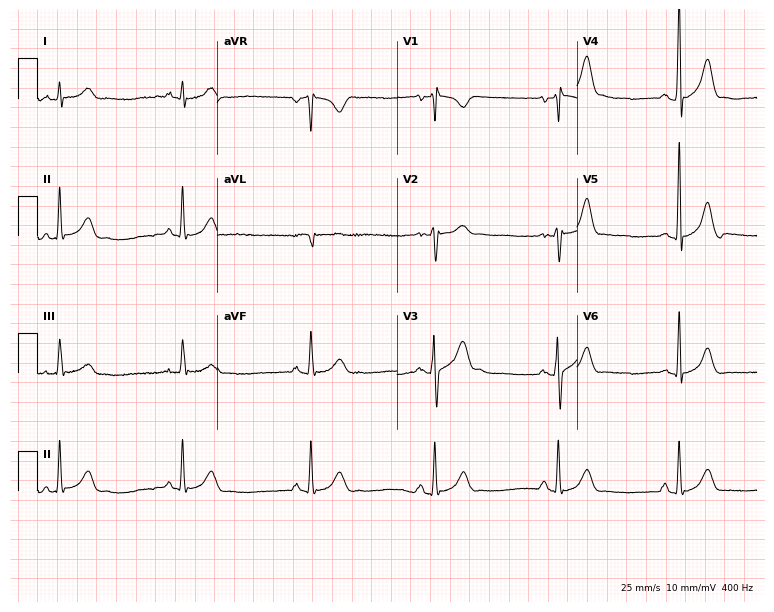
Electrocardiogram (7.3-second recording at 400 Hz), a male, 38 years old. Interpretation includes sinus bradycardia (a sinus rate of 50 beats per minute or less).